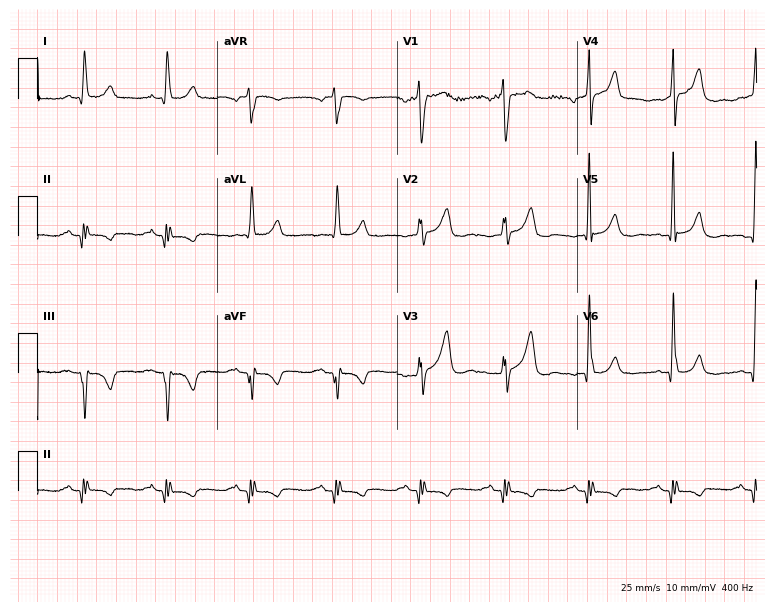
Standard 12-lead ECG recorded from a woman, 70 years old (7.3-second recording at 400 Hz). None of these six findings is recorded: first-degree AV block, right bundle branch block, left bundle branch block, sinus bradycardia, atrial fibrillation, sinus tachycardia.